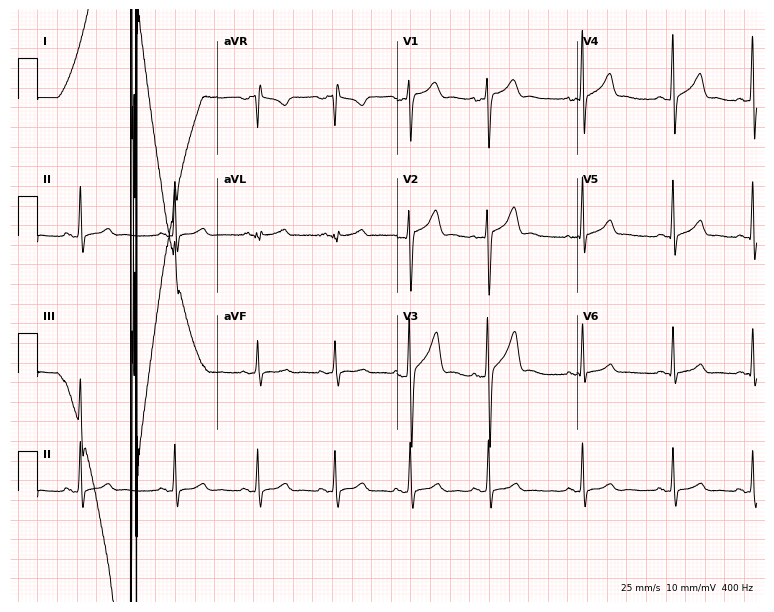
Standard 12-lead ECG recorded from a female patient, 19 years old. None of these six findings is recorded: first-degree AV block, right bundle branch block, left bundle branch block, sinus bradycardia, atrial fibrillation, sinus tachycardia.